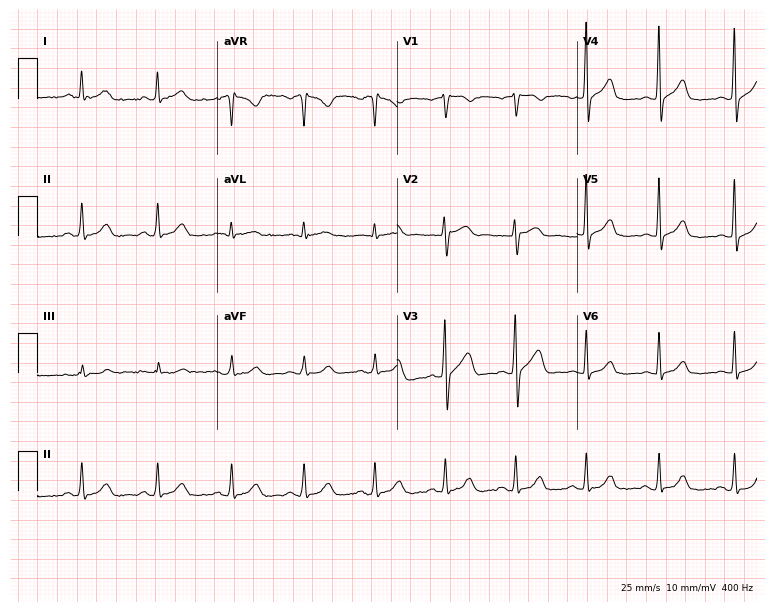
12-lead ECG (7.3-second recording at 400 Hz) from a man, 46 years old. Screened for six findings — first-degree AV block, right bundle branch block, left bundle branch block, sinus bradycardia, atrial fibrillation, sinus tachycardia — none is recorded.